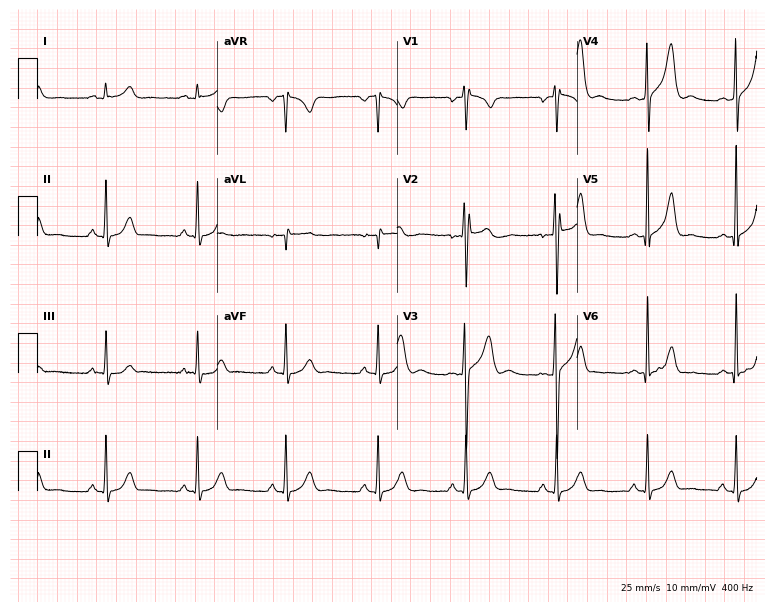
Resting 12-lead electrocardiogram. Patient: a male, 24 years old. Read as a normal ECG.